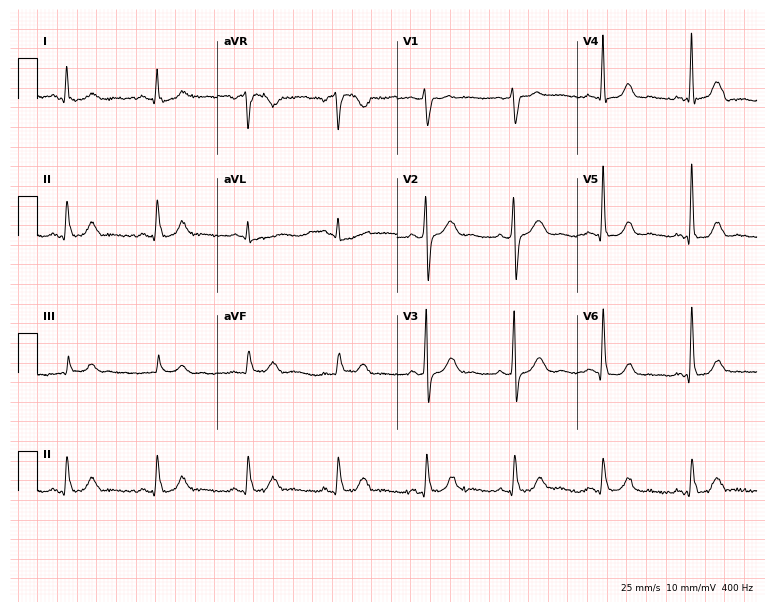
Resting 12-lead electrocardiogram (7.3-second recording at 400 Hz). Patient: a 79-year-old man. Read as a normal ECG.